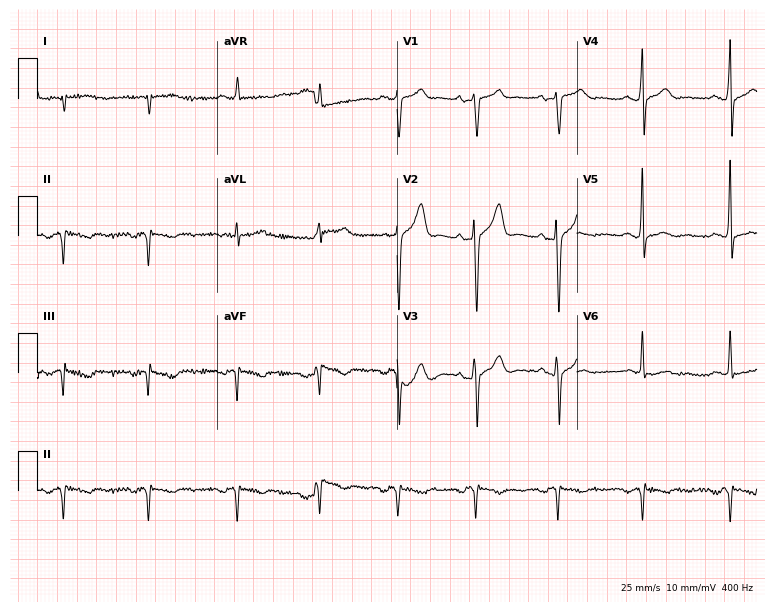
Resting 12-lead electrocardiogram. Patient: a 51-year-old man. None of these six findings is recorded: first-degree AV block, right bundle branch block, left bundle branch block, sinus bradycardia, atrial fibrillation, sinus tachycardia.